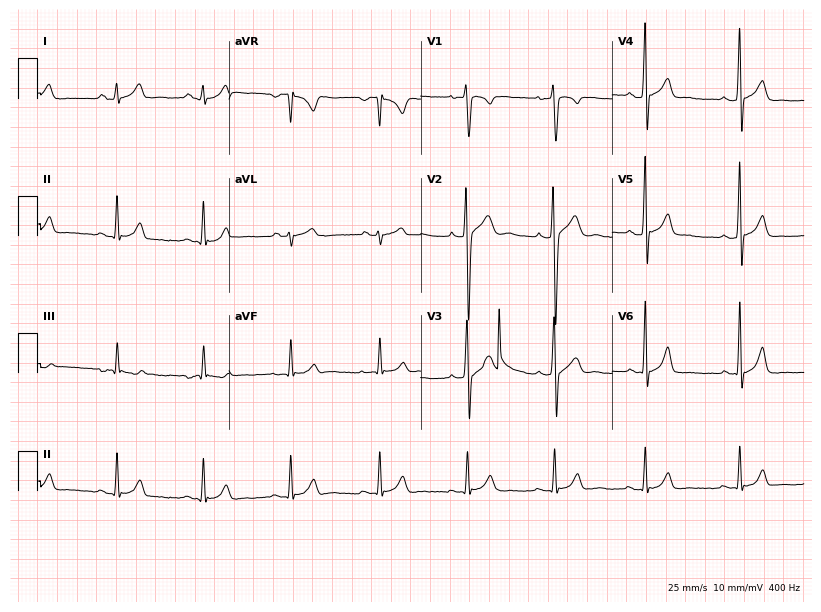
12-lead ECG from a 19-year-old male. Recorded interpretation: within normal limits.